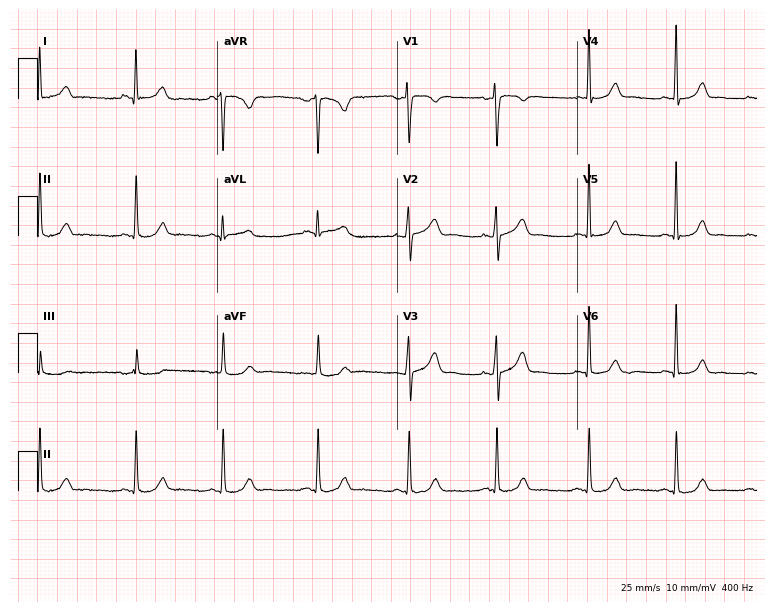
12-lead ECG from a female patient, 31 years old. Labelled as a normal ECG.